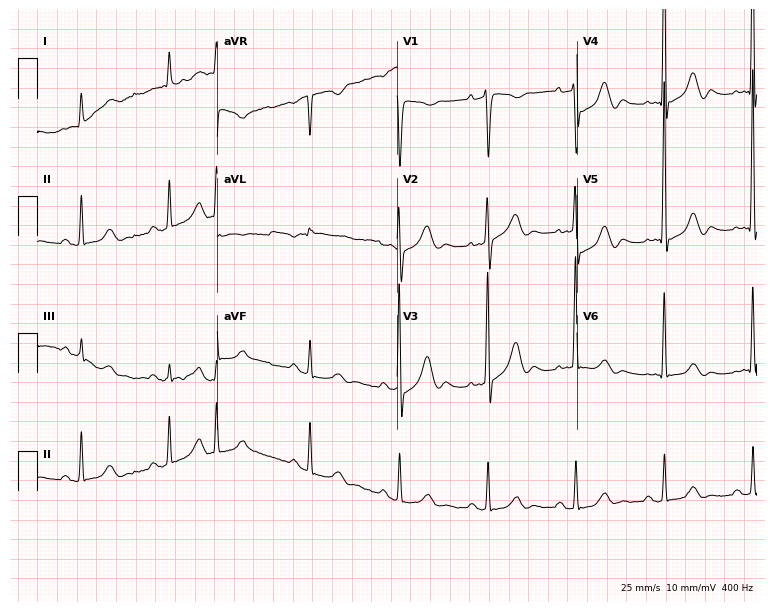
12-lead ECG (7.3-second recording at 400 Hz) from a male patient, 82 years old. Screened for six findings — first-degree AV block, right bundle branch block (RBBB), left bundle branch block (LBBB), sinus bradycardia, atrial fibrillation (AF), sinus tachycardia — none is recorded. Findings outside these six are not listed.